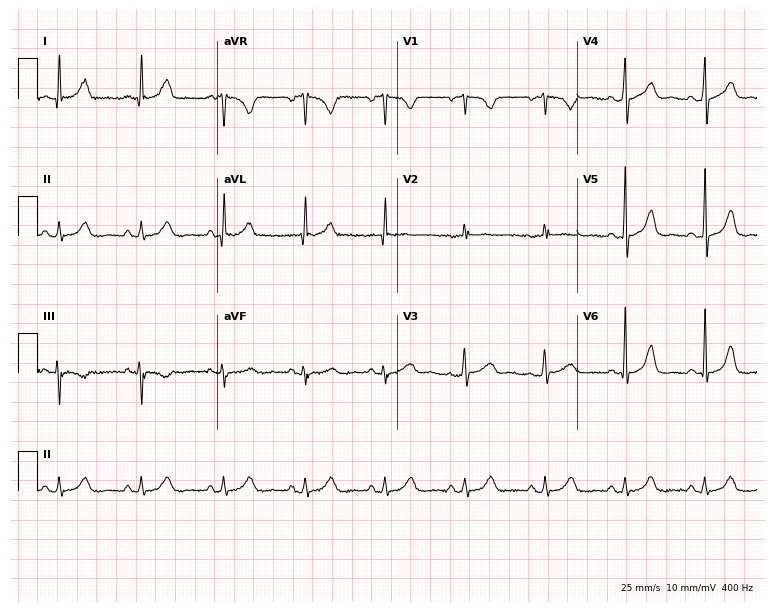
12-lead ECG from a 57-year-old woman. No first-degree AV block, right bundle branch block, left bundle branch block, sinus bradycardia, atrial fibrillation or sinus tachycardia recorded for this tracing.